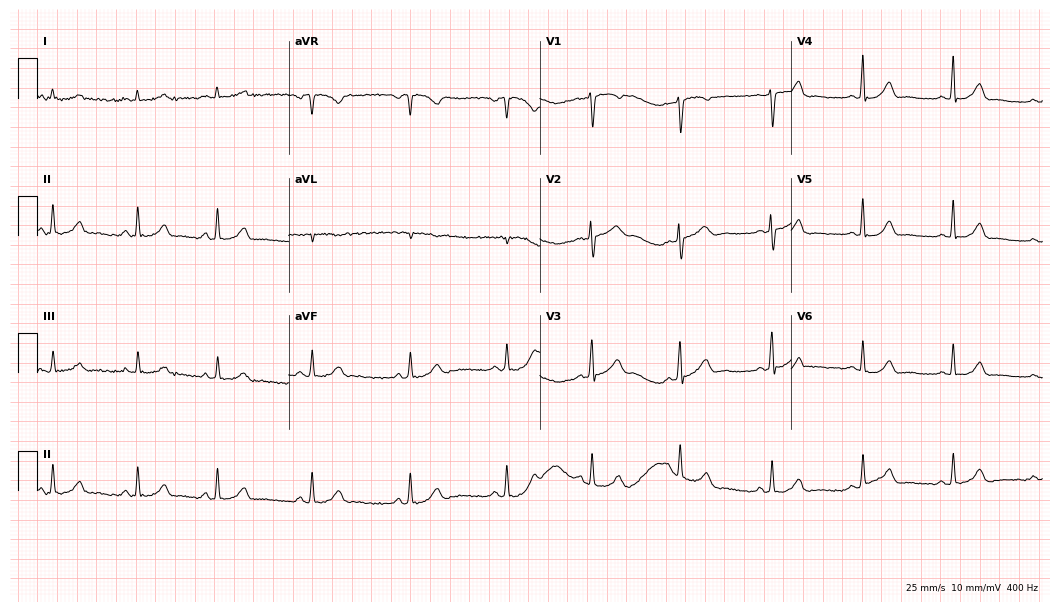
Standard 12-lead ECG recorded from a 27-year-old female patient. Read as a normal ECG.